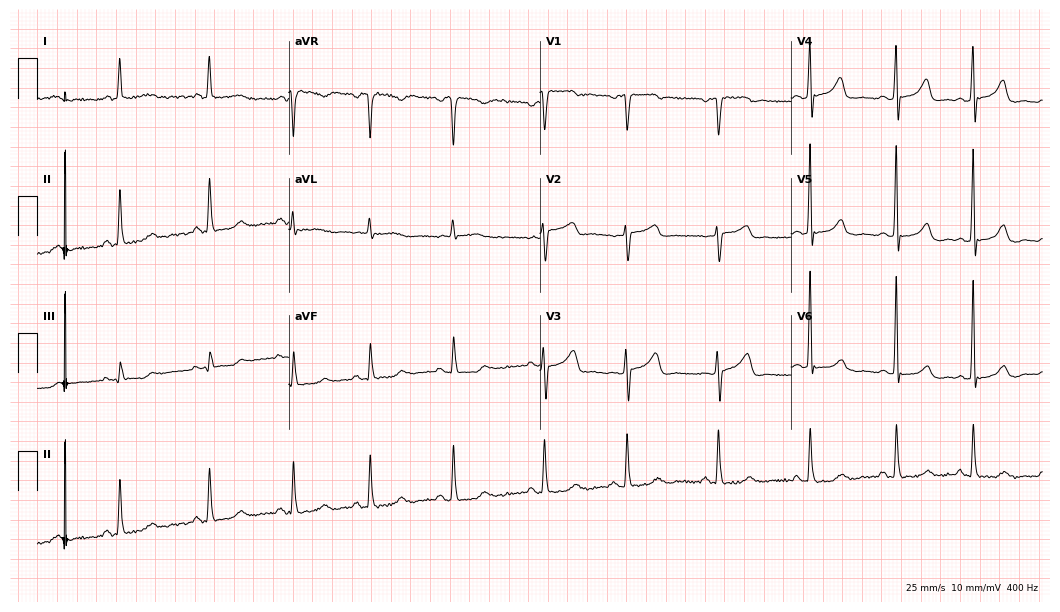
12-lead ECG (10.2-second recording at 400 Hz) from a 58-year-old woman. Labelled as a normal ECG.